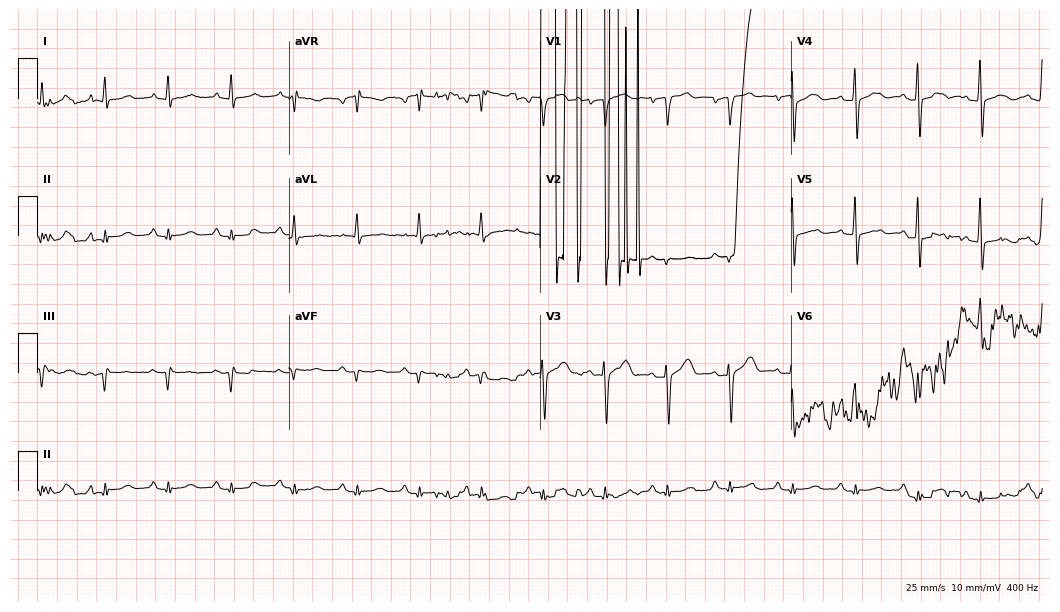
12-lead ECG from a male, 73 years old. Screened for six findings — first-degree AV block, right bundle branch block, left bundle branch block, sinus bradycardia, atrial fibrillation, sinus tachycardia — none is recorded. Only these six findings were labelled.